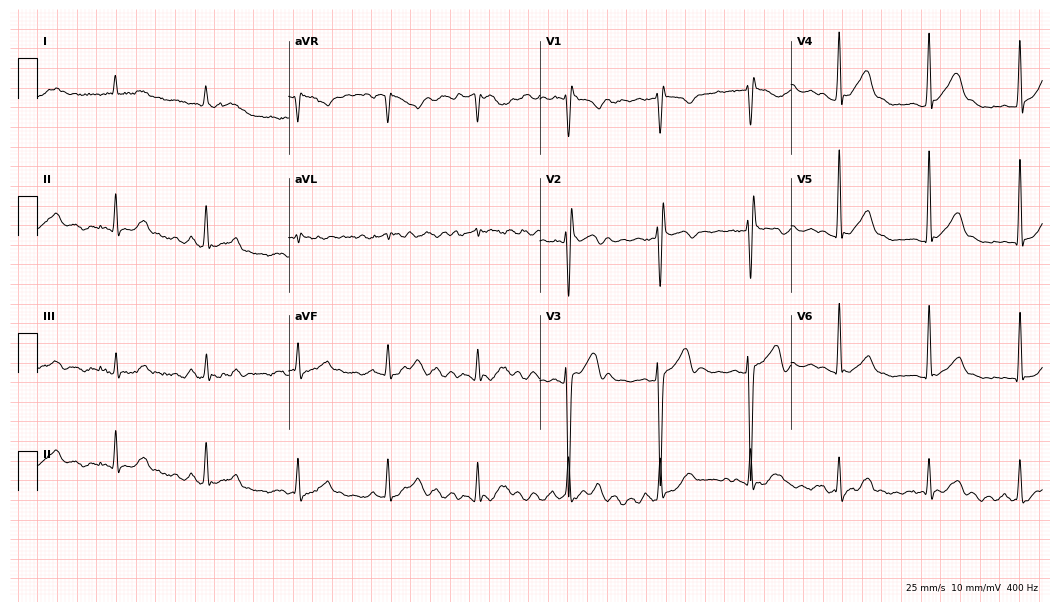
12-lead ECG from a 28-year-old male (10.2-second recording at 400 Hz). No first-degree AV block, right bundle branch block, left bundle branch block, sinus bradycardia, atrial fibrillation or sinus tachycardia recorded for this tracing. Other findings, if any, are not listed.